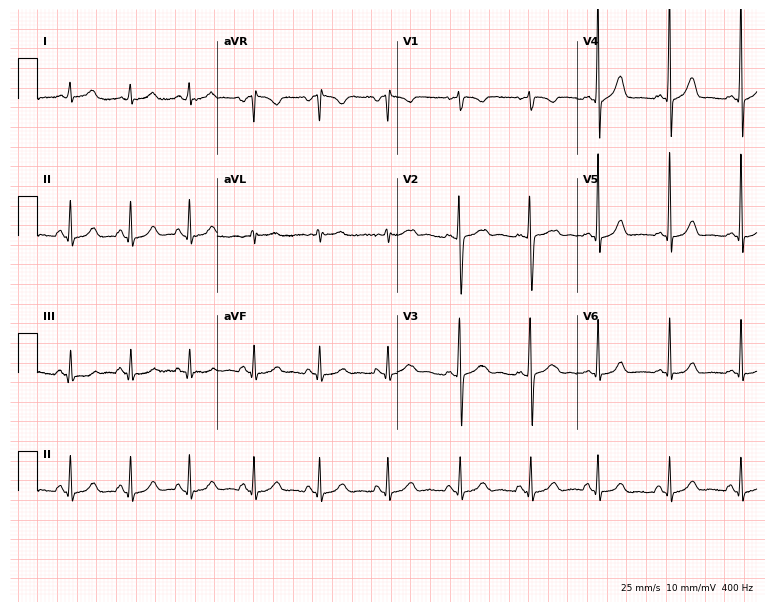
Electrocardiogram (7.3-second recording at 400 Hz), a female, 17 years old. Overall reading on record: normal ECG.